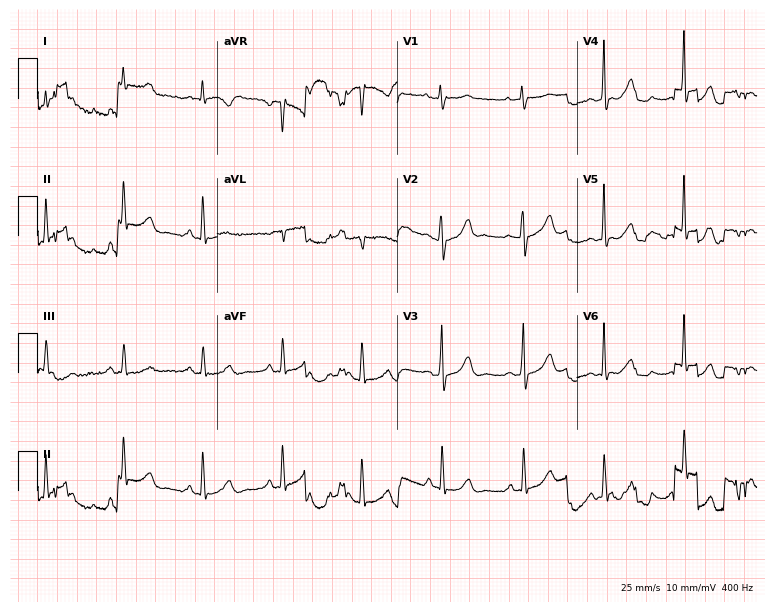
12-lead ECG from a female, 65 years old. Screened for six findings — first-degree AV block, right bundle branch block (RBBB), left bundle branch block (LBBB), sinus bradycardia, atrial fibrillation (AF), sinus tachycardia — none is recorded.